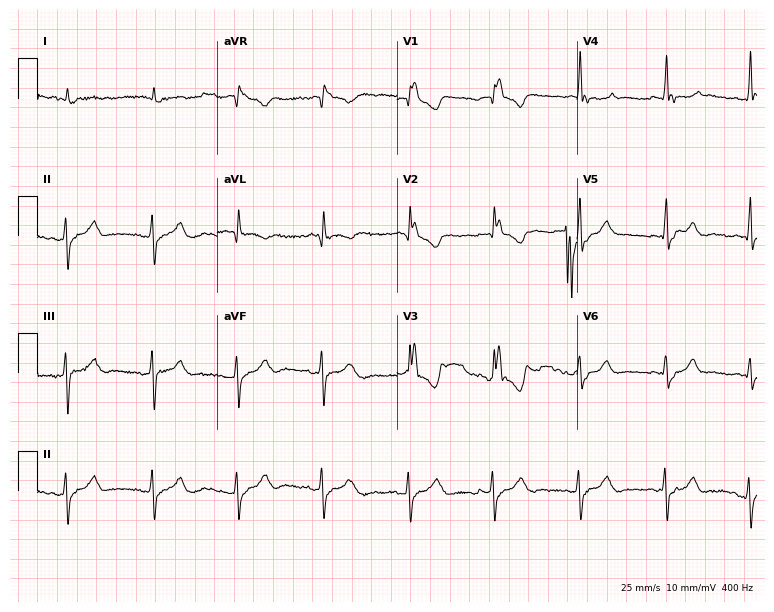
Standard 12-lead ECG recorded from a 74-year-old male (7.3-second recording at 400 Hz). The tracing shows right bundle branch block.